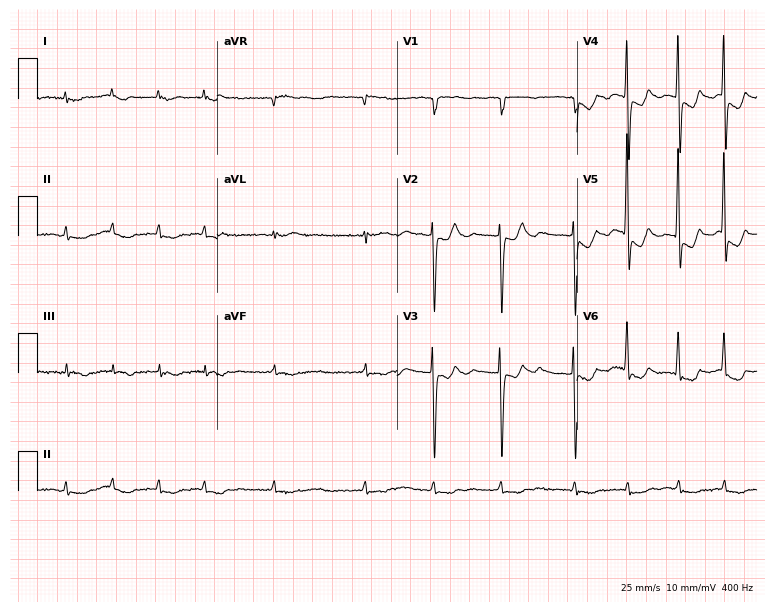
Resting 12-lead electrocardiogram (7.3-second recording at 400 Hz). Patient: a 78-year-old female. None of these six findings is recorded: first-degree AV block, right bundle branch block, left bundle branch block, sinus bradycardia, atrial fibrillation, sinus tachycardia. Findings outside these six are not listed.